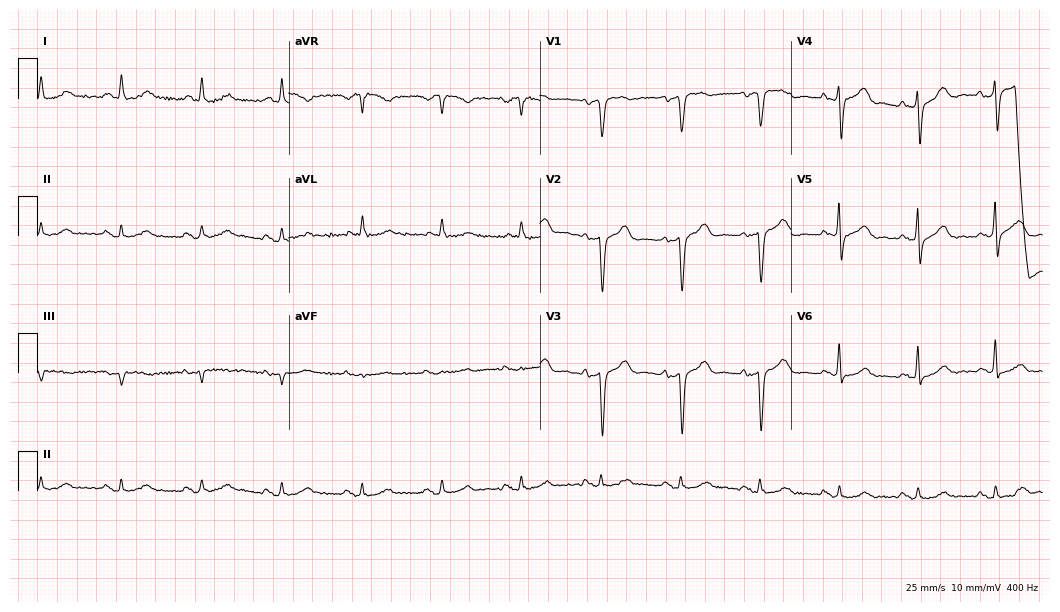
ECG (10.2-second recording at 400 Hz) — a man, 63 years old. Screened for six findings — first-degree AV block, right bundle branch block, left bundle branch block, sinus bradycardia, atrial fibrillation, sinus tachycardia — none is recorded.